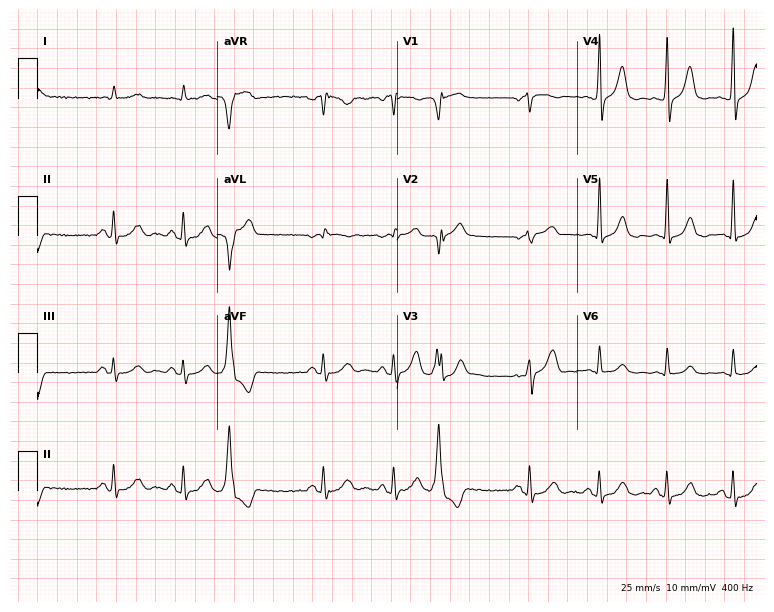
Electrocardiogram (7.3-second recording at 400 Hz), a male patient, 74 years old. Of the six screened findings (first-degree AV block, right bundle branch block, left bundle branch block, sinus bradycardia, atrial fibrillation, sinus tachycardia), none is recorded. Only these six findings were labelled.